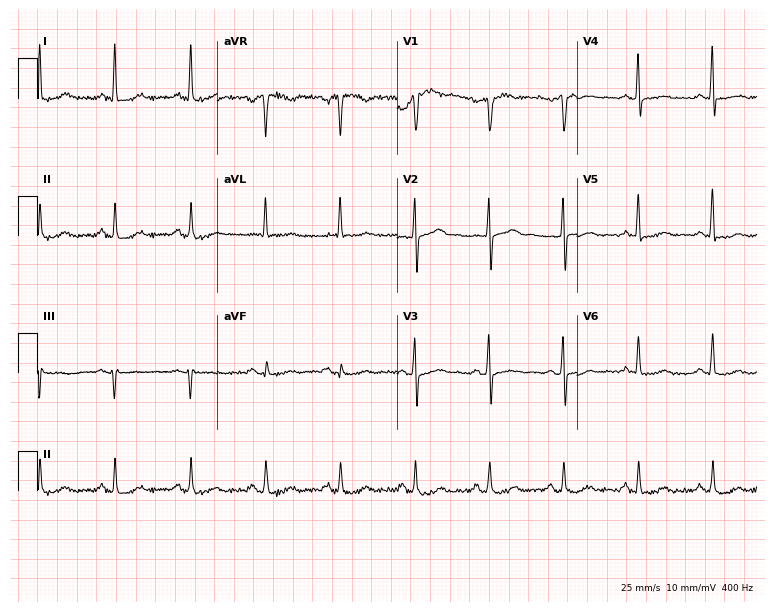
12-lead ECG (7.3-second recording at 400 Hz) from a 75-year-old man. Labelled as a normal ECG.